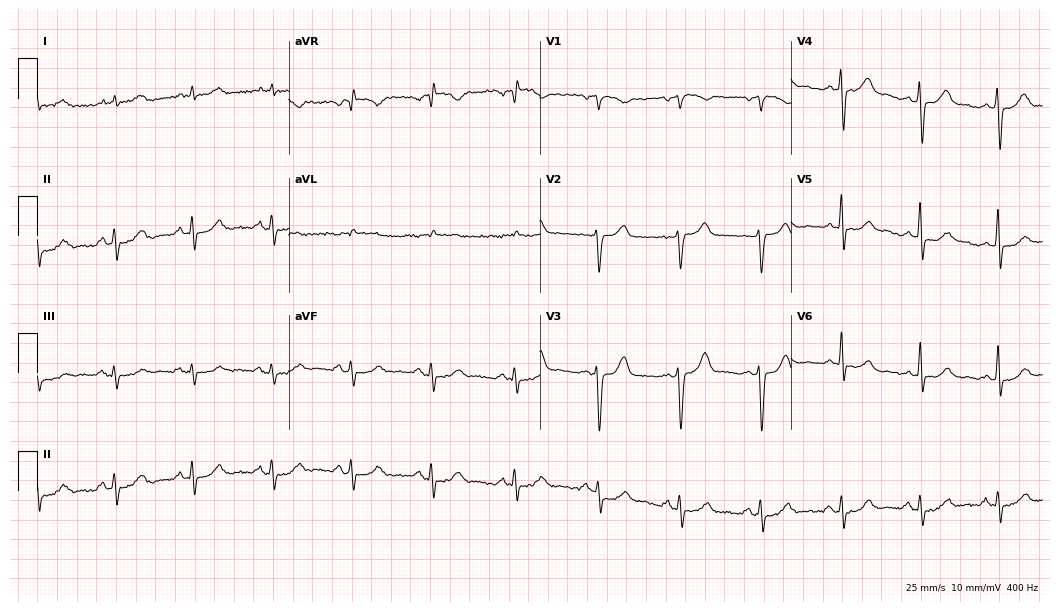
12-lead ECG from a male patient, 62 years old. Labelled as a normal ECG.